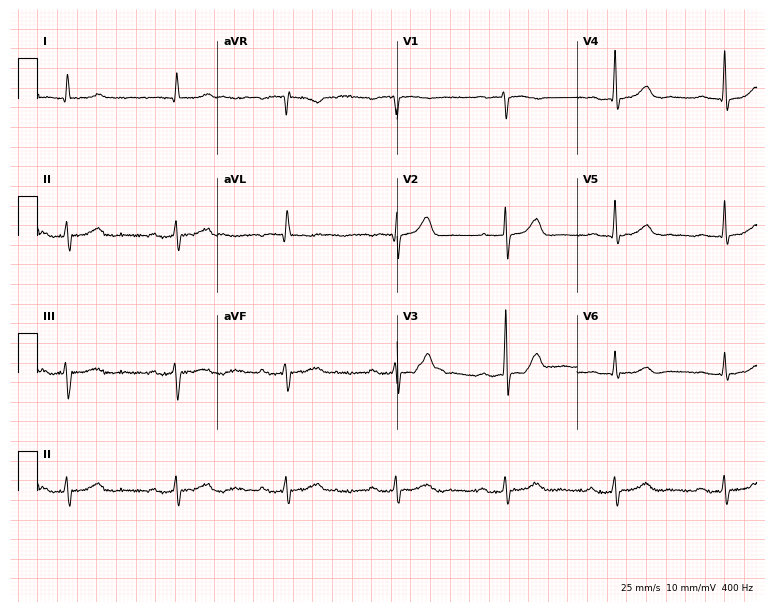
Standard 12-lead ECG recorded from a man, 75 years old. Read as a normal ECG.